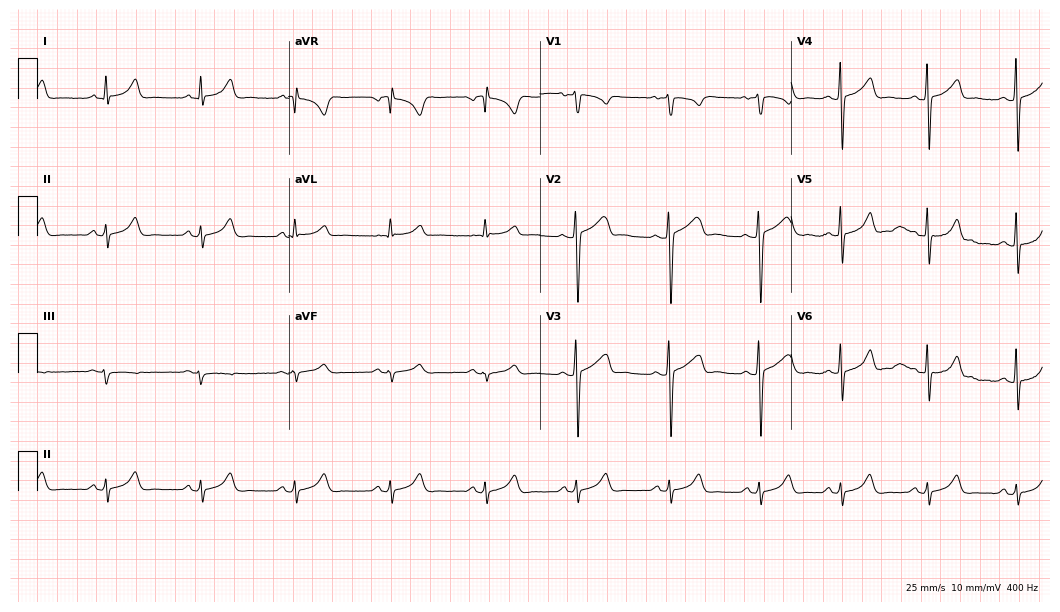
Electrocardiogram (10.2-second recording at 400 Hz), a 27-year-old man. Of the six screened findings (first-degree AV block, right bundle branch block, left bundle branch block, sinus bradycardia, atrial fibrillation, sinus tachycardia), none is recorded. Only these six findings were labelled.